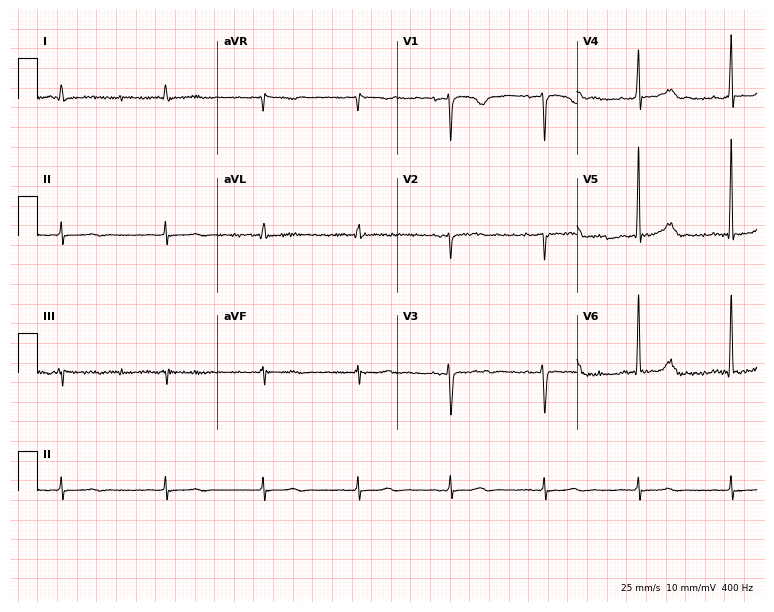
Electrocardiogram (7.3-second recording at 400 Hz), a female, 48 years old. Of the six screened findings (first-degree AV block, right bundle branch block, left bundle branch block, sinus bradycardia, atrial fibrillation, sinus tachycardia), none is recorded. Other findings, if any, are not listed.